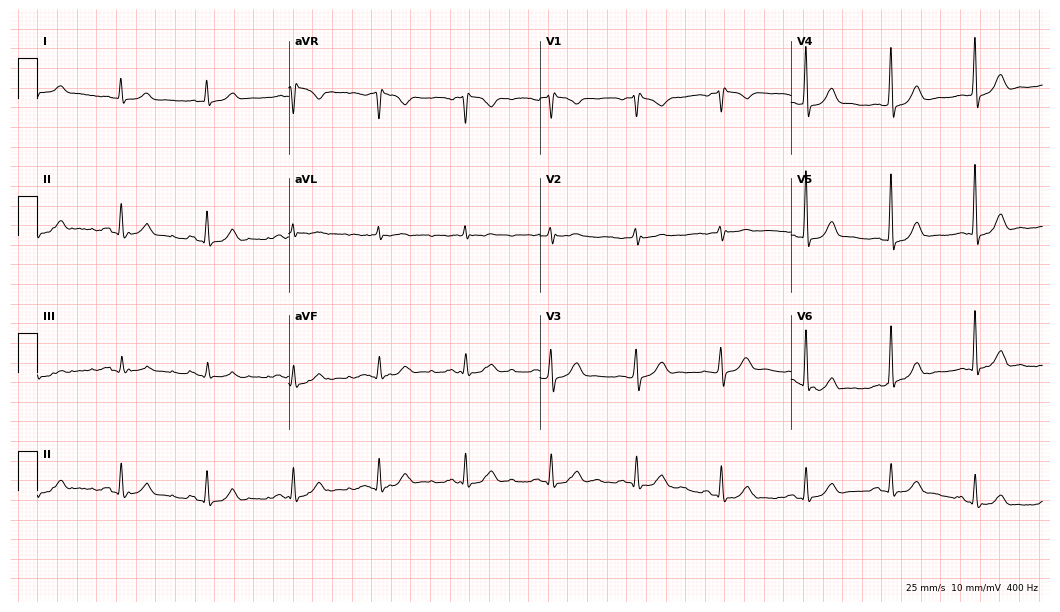
12-lead ECG (10.2-second recording at 400 Hz) from a 67-year-old male. Labelled as a normal ECG.